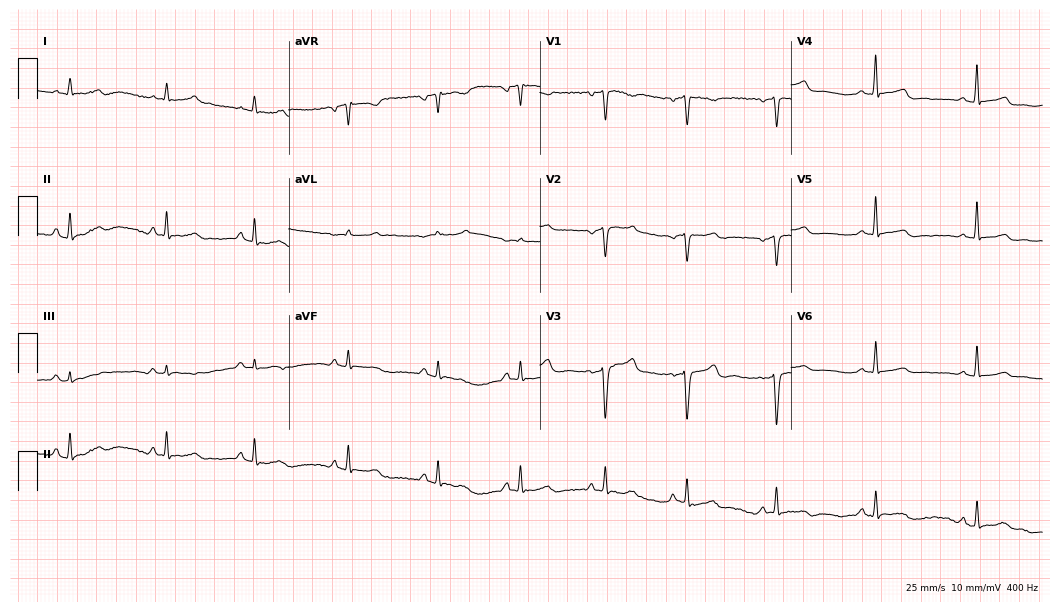
ECG — a 40-year-old woman. Labelled as a normal ECG.